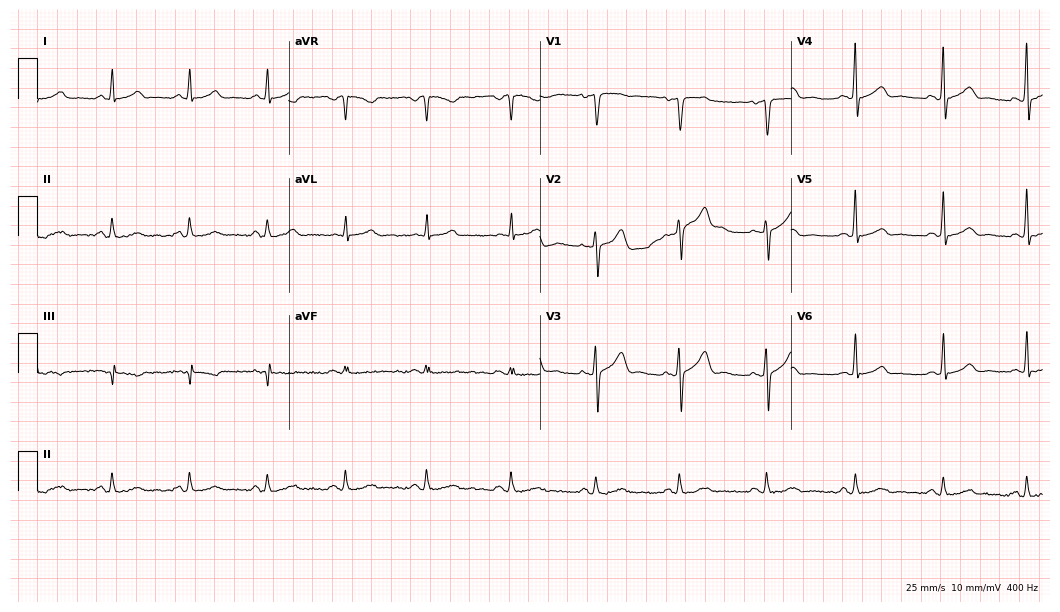
ECG — a male, 44 years old. Labelled as a normal ECG.